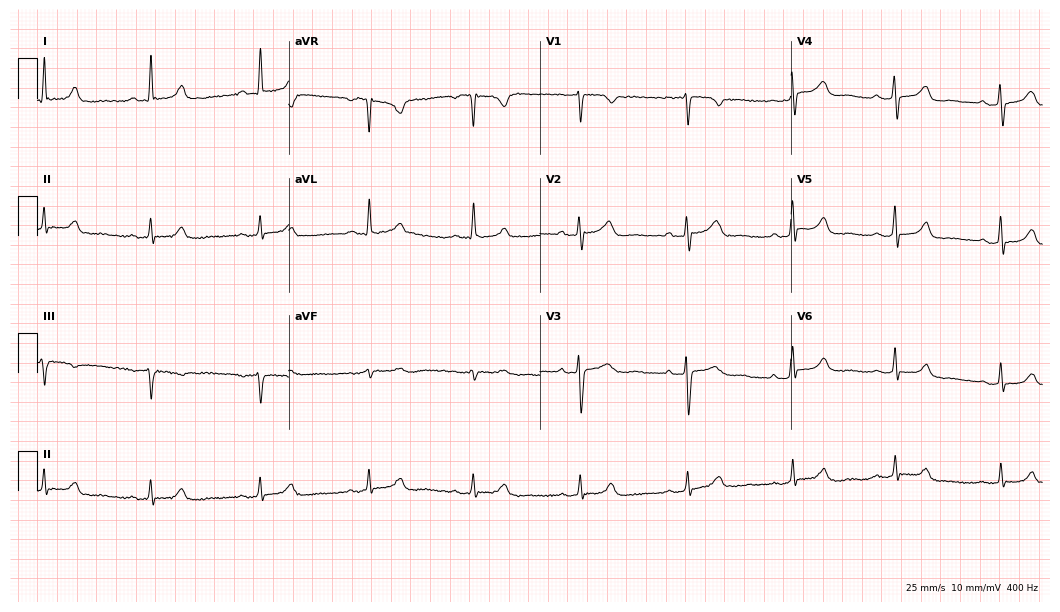
Resting 12-lead electrocardiogram (10.2-second recording at 400 Hz). Patient: a woman, 61 years old. Read as a normal ECG.